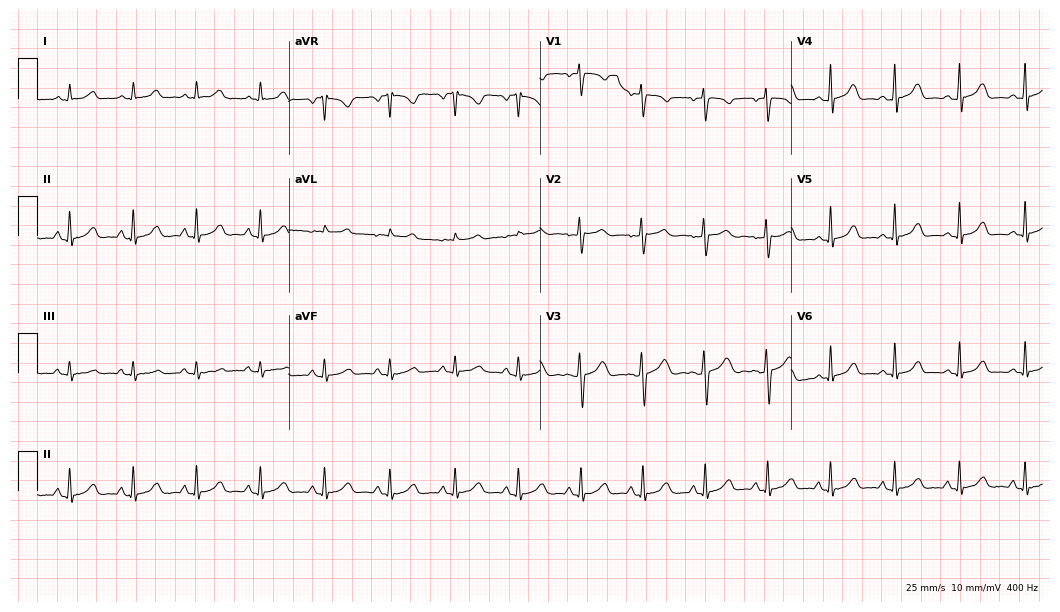
Resting 12-lead electrocardiogram (10.2-second recording at 400 Hz). Patient: a female, 29 years old. None of these six findings is recorded: first-degree AV block, right bundle branch block (RBBB), left bundle branch block (LBBB), sinus bradycardia, atrial fibrillation (AF), sinus tachycardia.